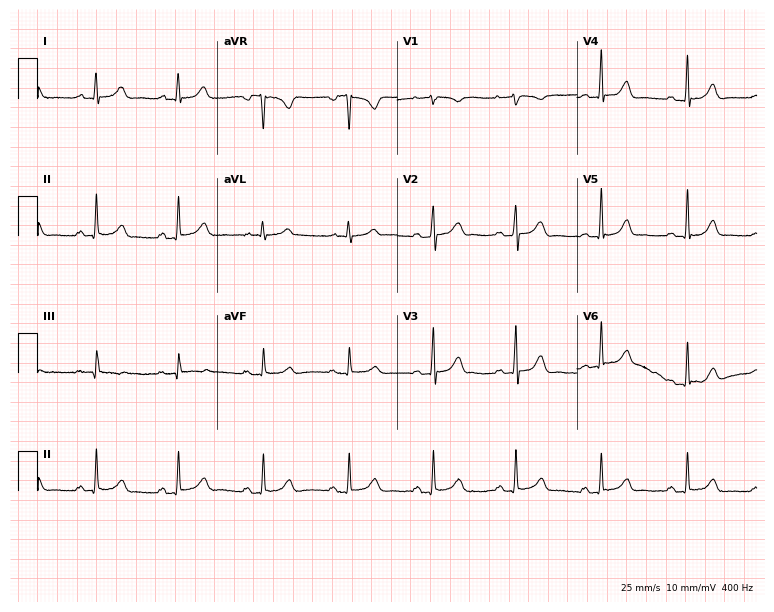
12-lead ECG (7.3-second recording at 400 Hz) from a female, 32 years old. Screened for six findings — first-degree AV block, right bundle branch block, left bundle branch block, sinus bradycardia, atrial fibrillation, sinus tachycardia — none is recorded.